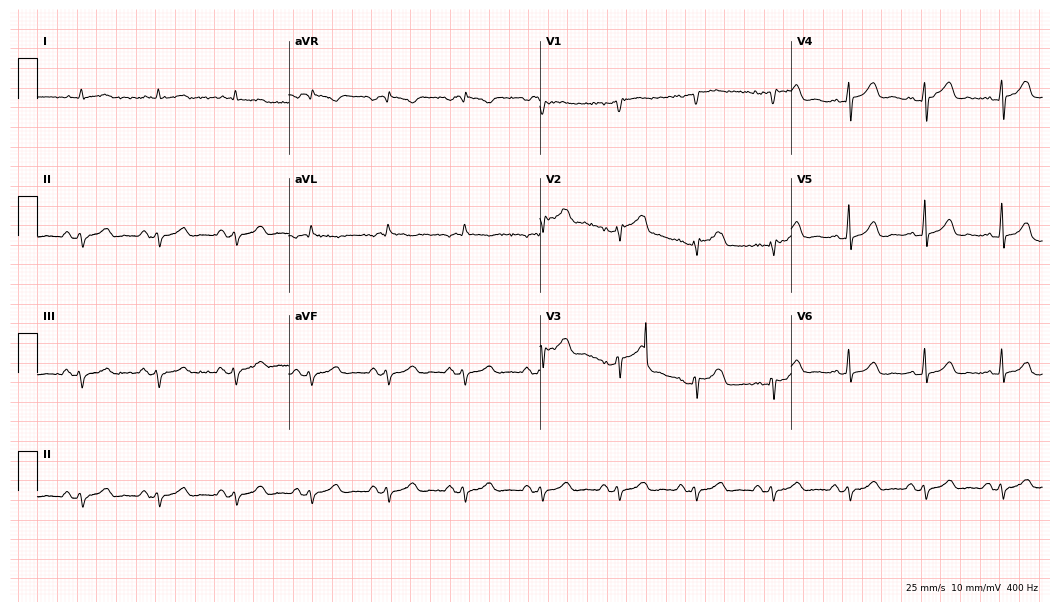
Resting 12-lead electrocardiogram. Patient: a 69-year-old female. None of these six findings is recorded: first-degree AV block, right bundle branch block, left bundle branch block, sinus bradycardia, atrial fibrillation, sinus tachycardia. Only these six findings were labelled.